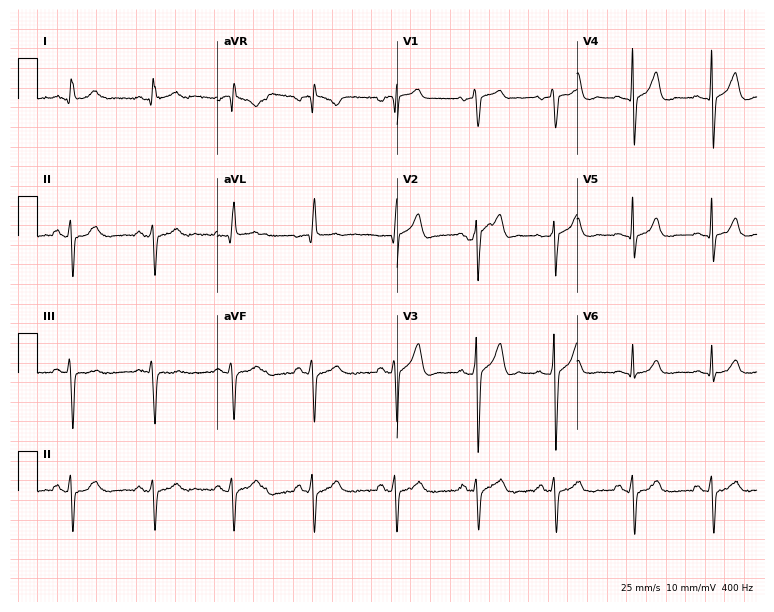
ECG (7.3-second recording at 400 Hz) — a 48-year-old man. Screened for six findings — first-degree AV block, right bundle branch block (RBBB), left bundle branch block (LBBB), sinus bradycardia, atrial fibrillation (AF), sinus tachycardia — none is recorded.